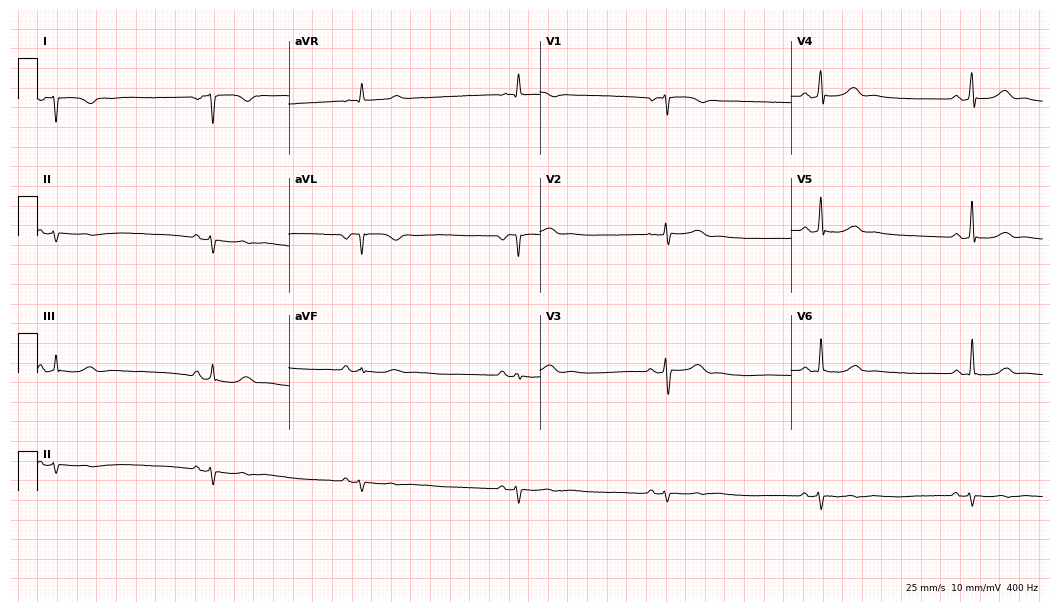
Electrocardiogram (10.2-second recording at 400 Hz), a 47-year-old woman. Of the six screened findings (first-degree AV block, right bundle branch block, left bundle branch block, sinus bradycardia, atrial fibrillation, sinus tachycardia), none is recorded. Other findings, if any, are not listed.